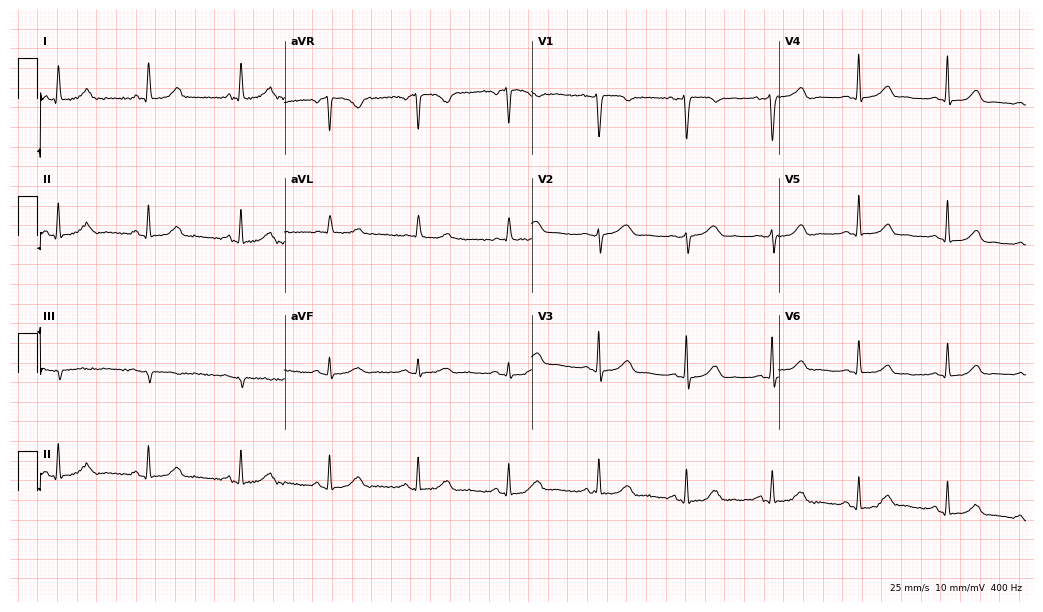
Standard 12-lead ECG recorded from a 45-year-old woman (10.1-second recording at 400 Hz). Read as a normal ECG.